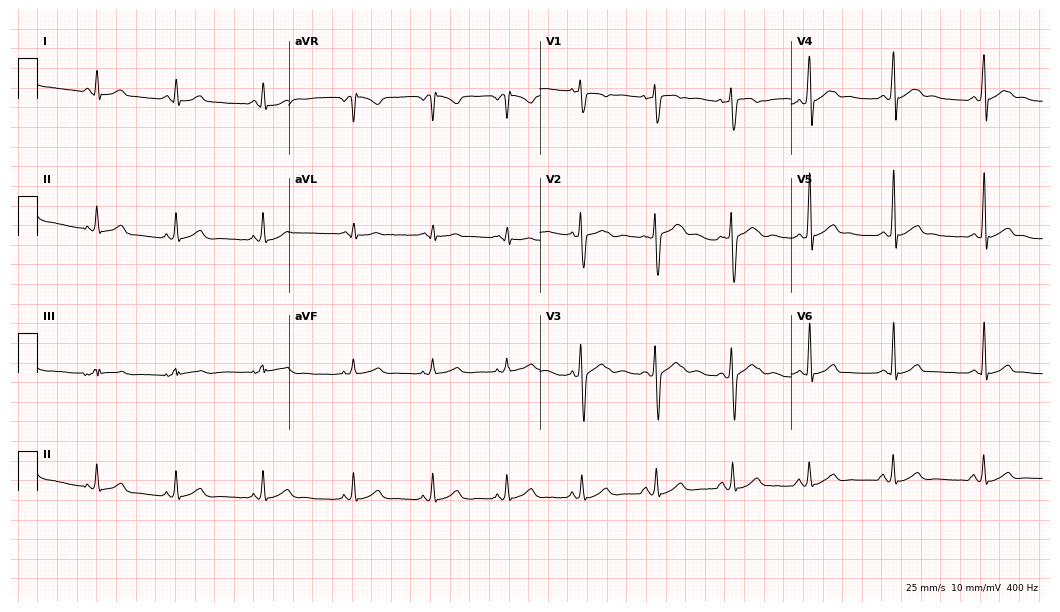
12-lead ECG from a 17-year-old male patient (10.2-second recording at 400 Hz). Recorded interpretation: within normal limits.